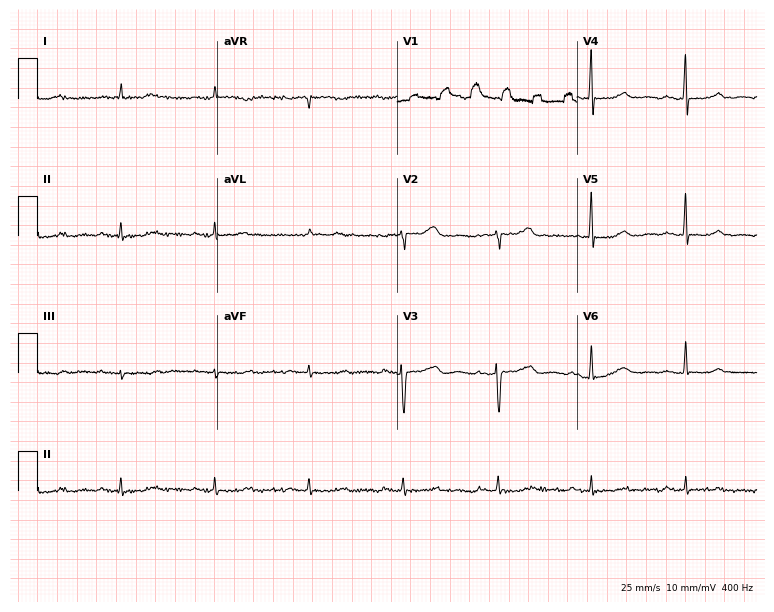
Electrocardiogram (7.3-second recording at 400 Hz), a woman, 83 years old. Overall reading on record: normal ECG.